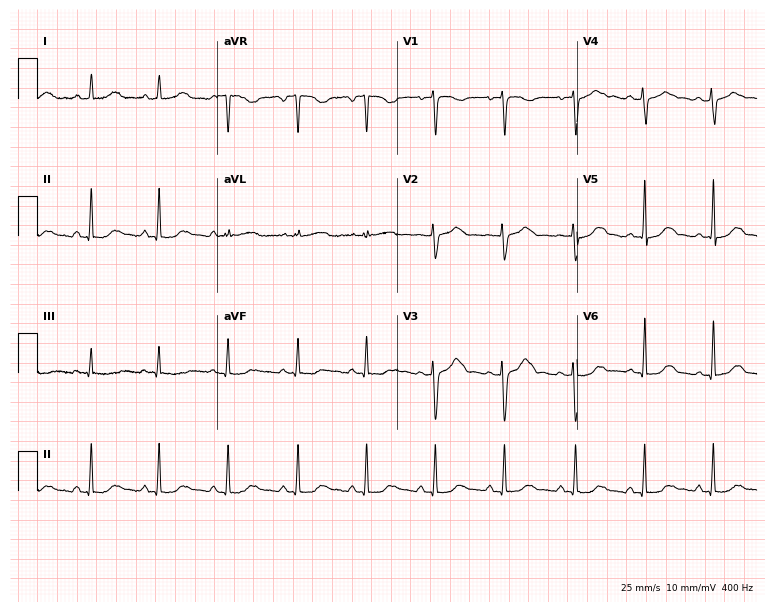
ECG (7.3-second recording at 400 Hz) — a 22-year-old woman. Labelled as a normal ECG.